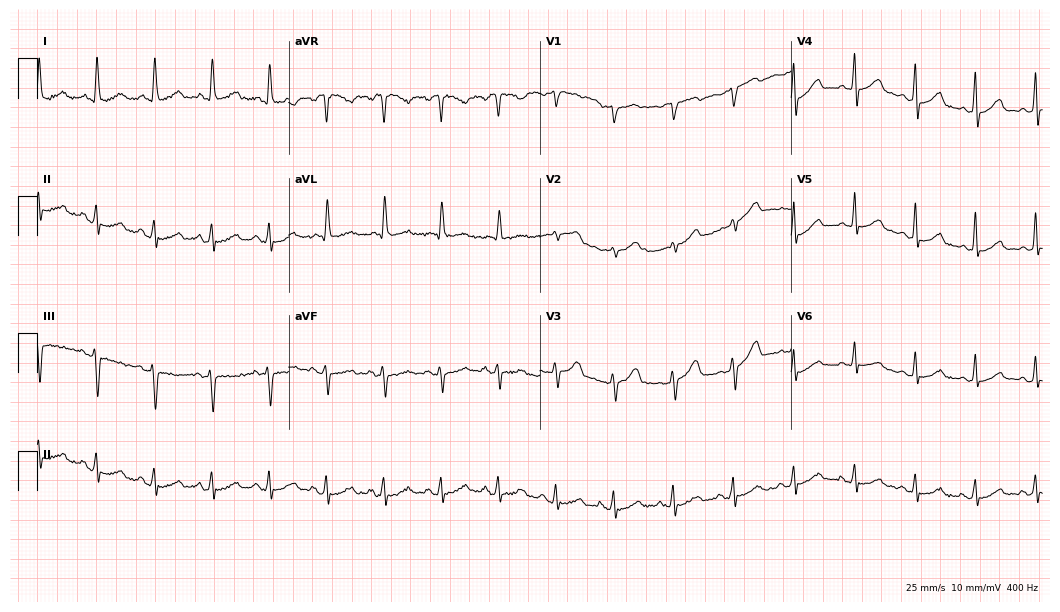
Resting 12-lead electrocardiogram (10.2-second recording at 400 Hz). Patient: a woman, 65 years old. Read as a normal ECG.